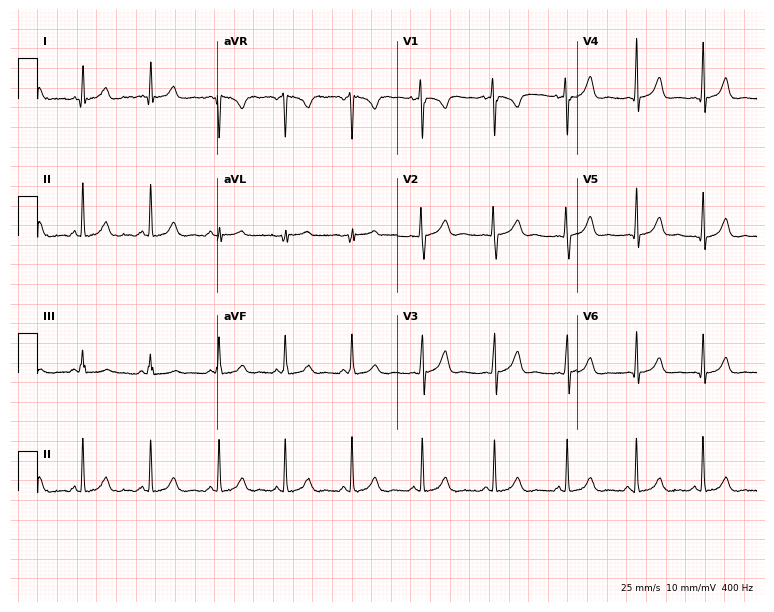
Standard 12-lead ECG recorded from a female patient, 25 years old. None of these six findings is recorded: first-degree AV block, right bundle branch block (RBBB), left bundle branch block (LBBB), sinus bradycardia, atrial fibrillation (AF), sinus tachycardia.